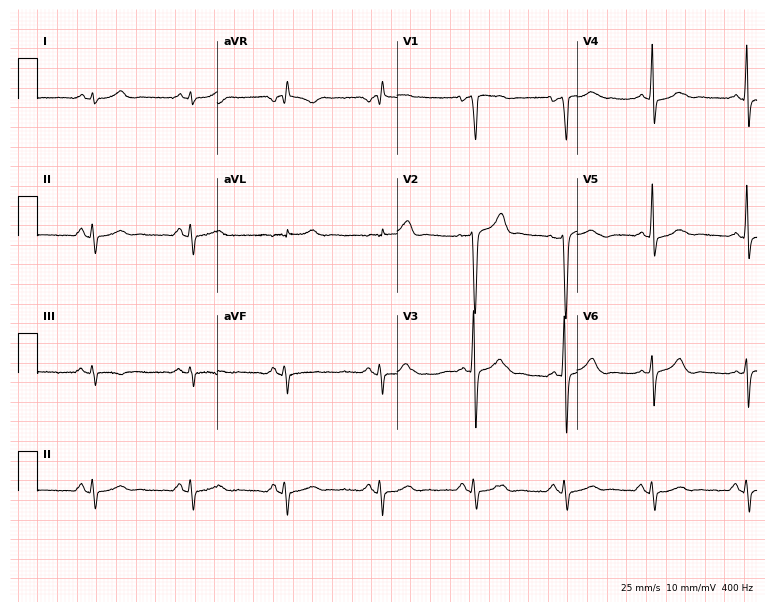
ECG (7.3-second recording at 400 Hz) — a man, 54 years old. Screened for six findings — first-degree AV block, right bundle branch block, left bundle branch block, sinus bradycardia, atrial fibrillation, sinus tachycardia — none is recorded. Findings outside these six are not listed.